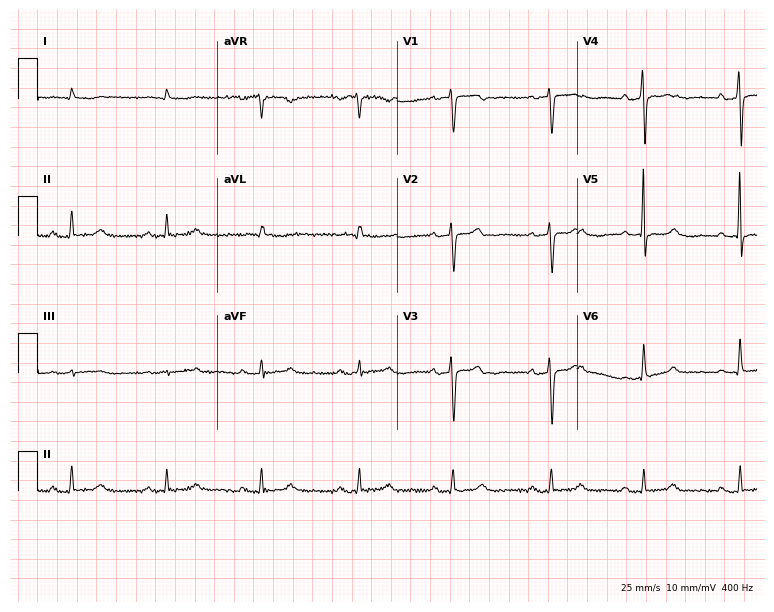
12-lead ECG (7.3-second recording at 400 Hz) from a woman, 66 years old. Screened for six findings — first-degree AV block, right bundle branch block, left bundle branch block, sinus bradycardia, atrial fibrillation, sinus tachycardia — none is recorded. Only these six findings were labelled.